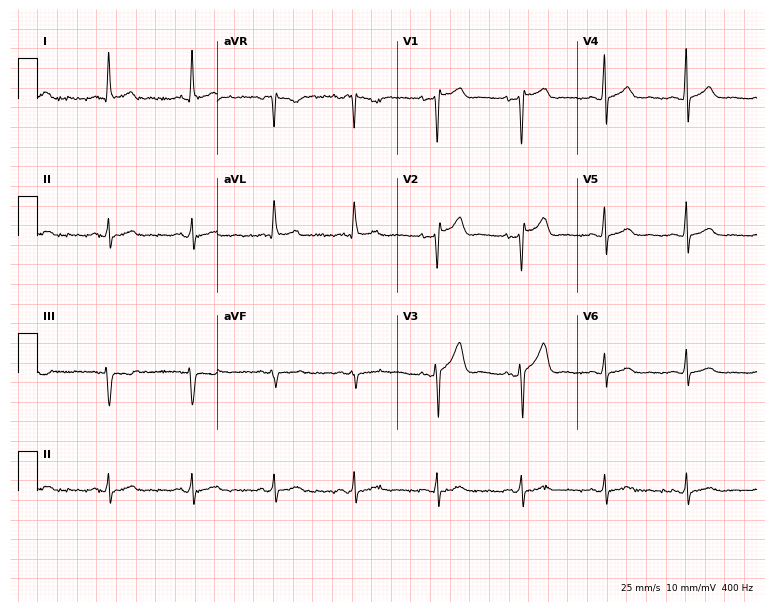
12-lead ECG from a 38-year-old male patient (7.3-second recording at 400 Hz). No first-degree AV block, right bundle branch block, left bundle branch block, sinus bradycardia, atrial fibrillation or sinus tachycardia recorded for this tracing.